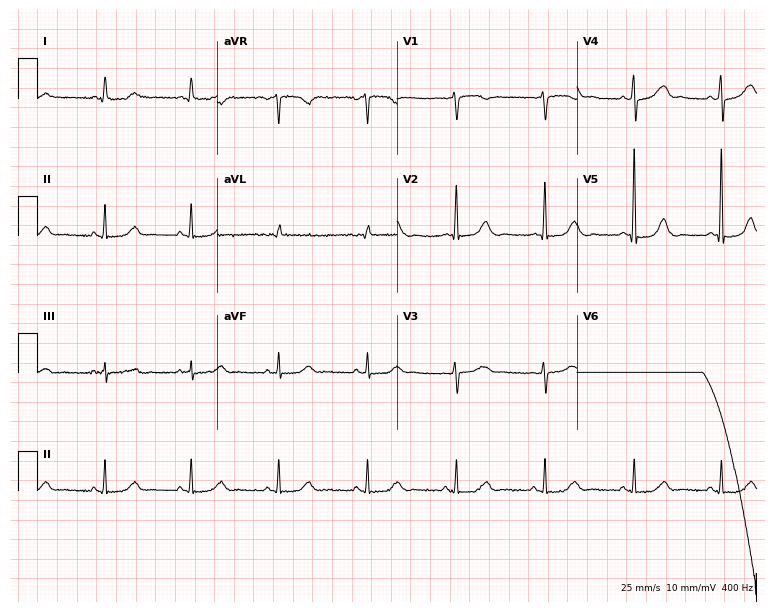
Standard 12-lead ECG recorded from a woman, 79 years old. Read as a normal ECG.